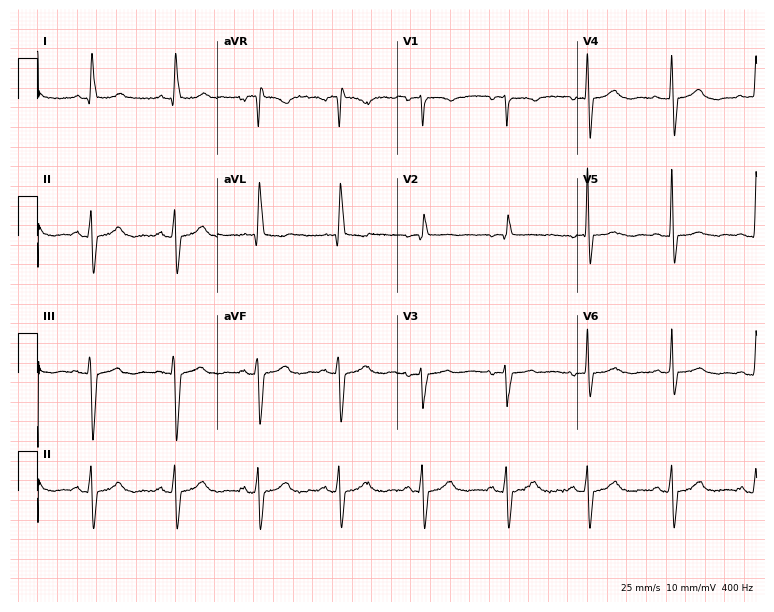
ECG (7.3-second recording at 400 Hz) — a female, 70 years old. Screened for six findings — first-degree AV block, right bundle branch block, left bundle branch block, sinus bradycardia, atrial fibrillation, sinus tachycardia — none is recorded. Other findings, if any, are not listed.